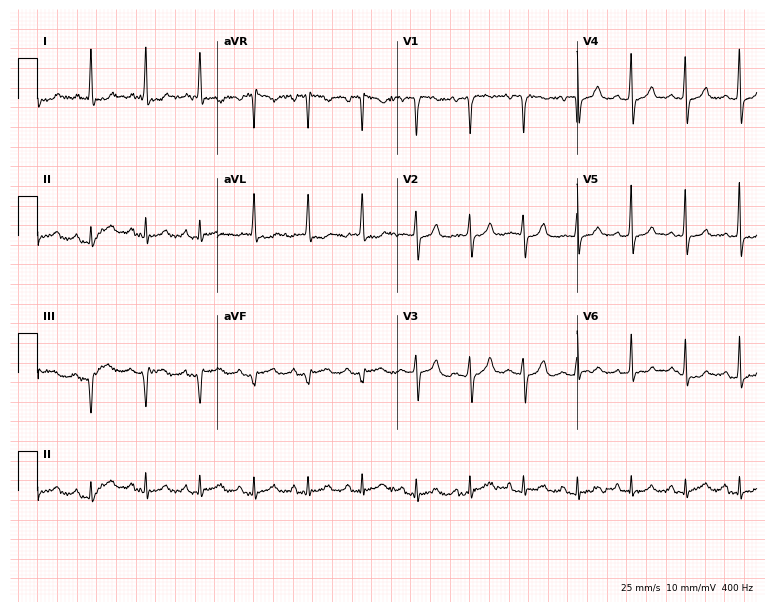
12-lead ECG from a woman, 82 years old. Findings include sinus tachycardia (a sinus rate of 100 beats per minute or more).